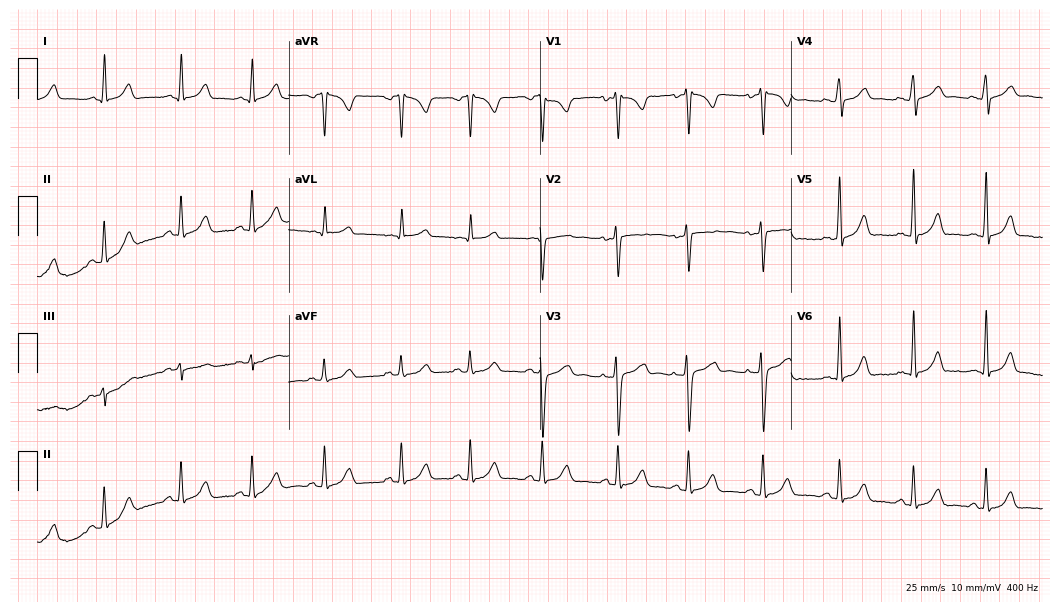
12-lead ECG (10.2-second recording at 400 Hz) from a female, 23 years old. Labelled as a normal ECG.